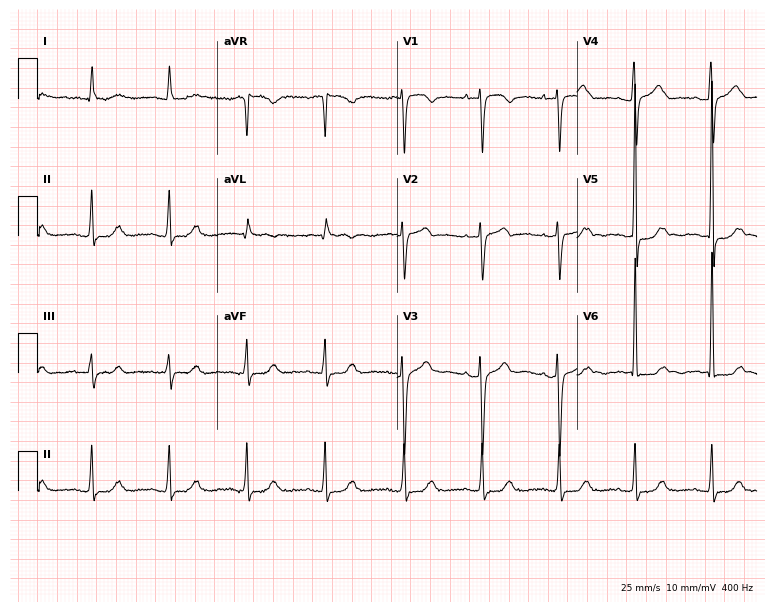
Standard 12-lead ECG recorded from a 79-year-old woman. None of these six findings is recorded: first-degree AV block, right bundle branch block, left bundle branch block, sinus bradycardia, atrial fibrillation, sinus tachycardia. Only these six findings were labelled.